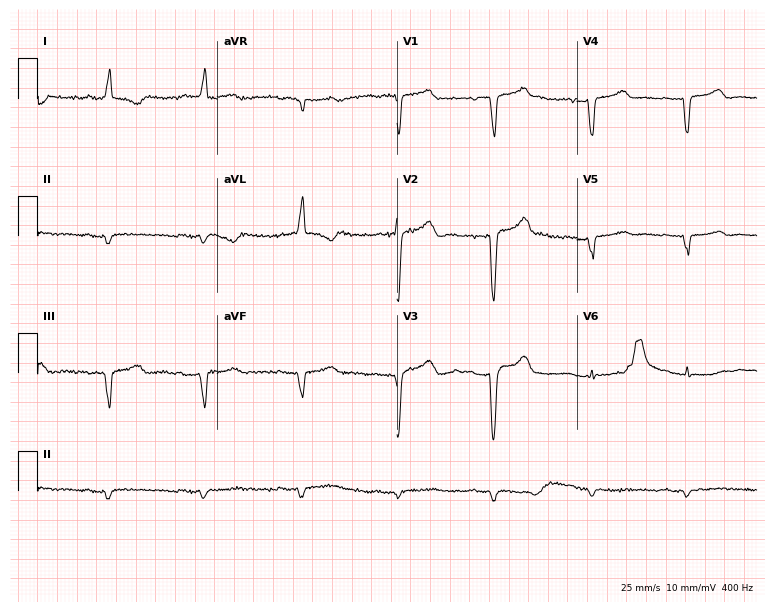
Resting 12-lead electrocardiogram. Patient: a 72-year-old female. None of these six findings is recorded: first-degree AV block, right bundle branch block (RBBB), left bundle branch block (LBBB), sinus bradycardia, atrial fibrillation (AF), sinus tachycardia. Findings outside these six are not listed.